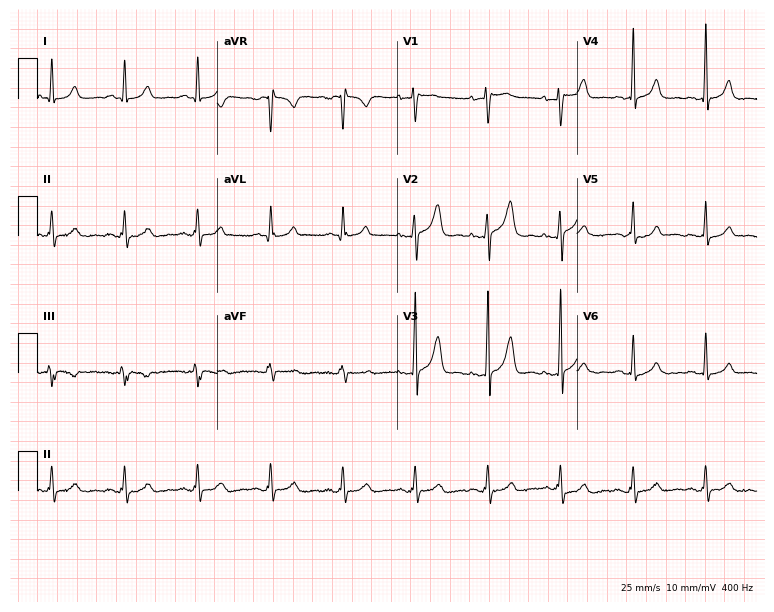
ECG — a man, 37 years old. Labelled as a normal ECG.